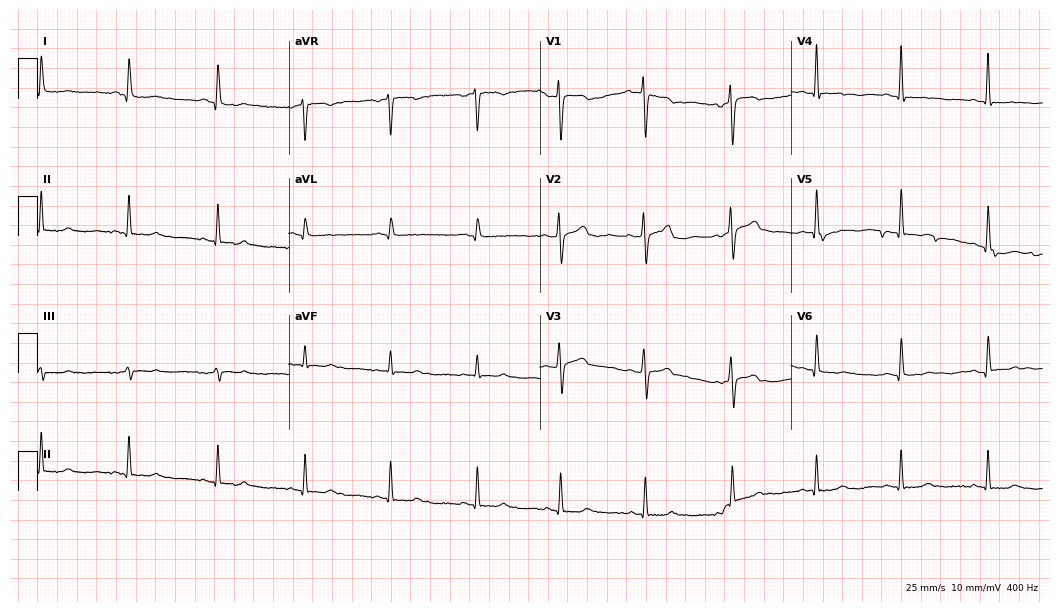
Electrocardiogram (10.2-second recording at 400 Hz), a 51-year-old female. Of the six screened findings (first-degree AV block, right bundle branch block, left bundle branch block, sinus bradycardia, atrial fibrillation, sinus tachycardia), none is recorded. Other findings, if any, are not listed.